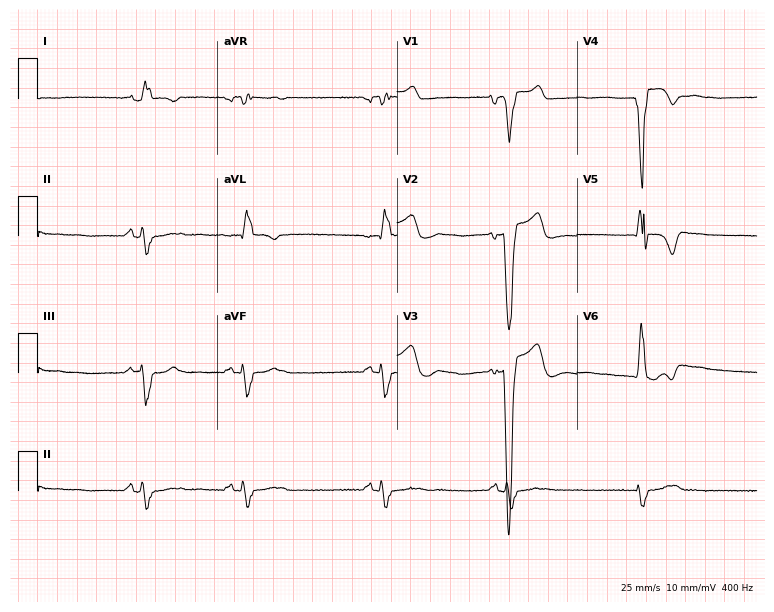
12-lead ECG from a male patient, 75 years old. Findings include left bundle branch block, sinus bradycardia (a sinus rate of 50 beats per minute or less).